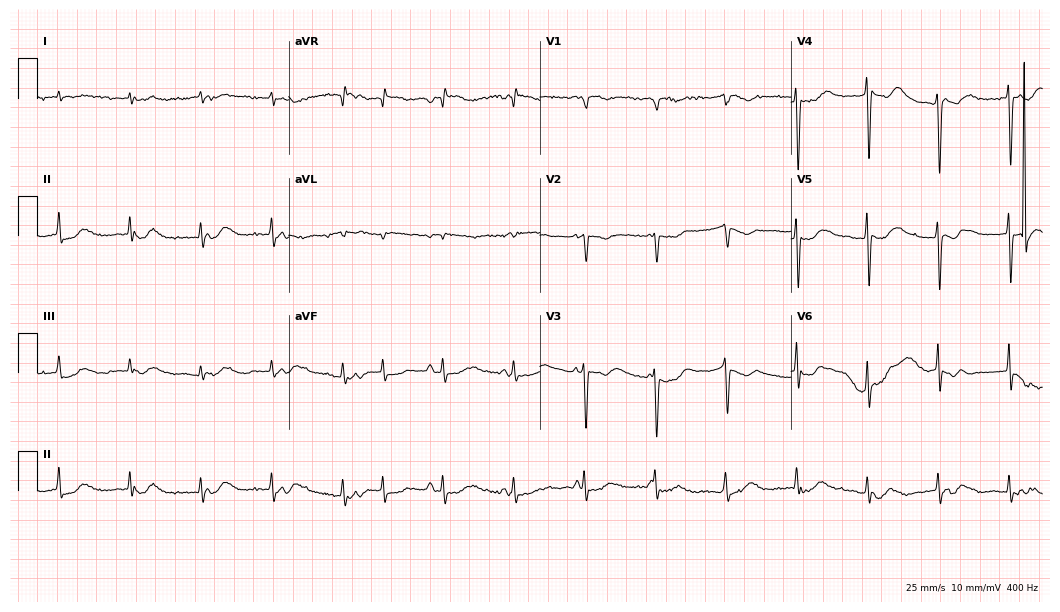
12-lead ECG from a male patient, 78 years old. No first-degree AV block, right bundle branch block, left bundle branch block, sinus bradycardia, atrial fibrillation or sinus tachycardia recorded for this tracing. Other findings, if any, are not listed.